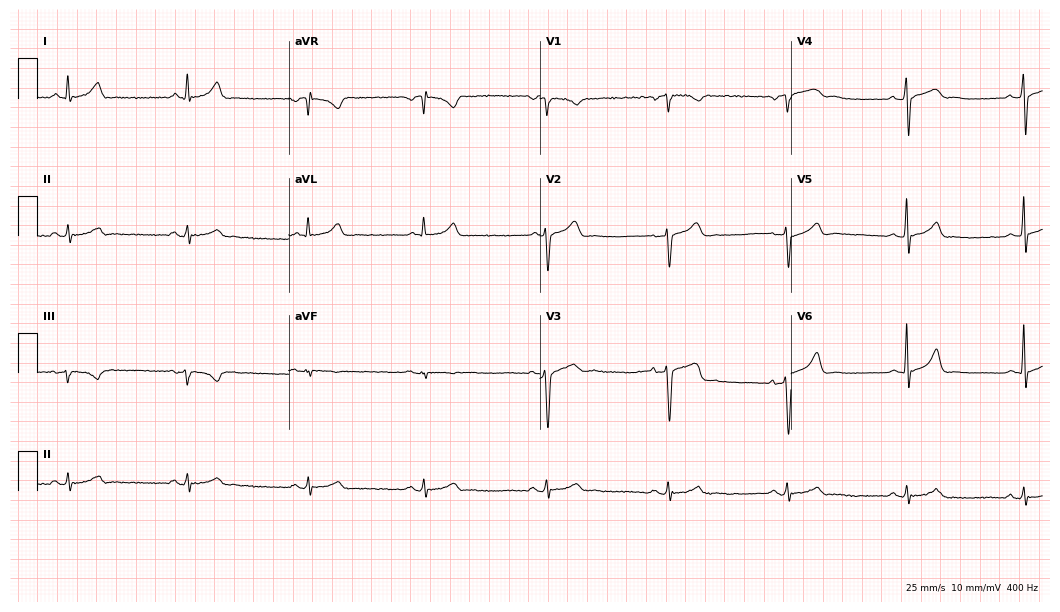
ECG — a male patient, 54 years old. Labelled as a normal ECG.